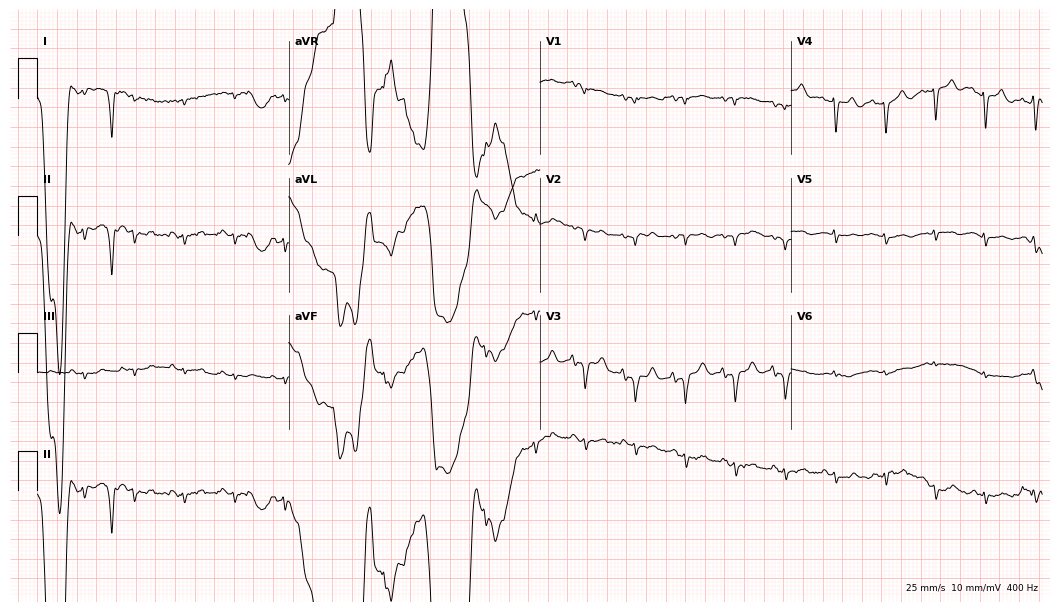
Standard 12-lead ECG recorded from a male patient, 72 years old (10.2-second recording at 400 Hz). None of these six findings is recorded: first-degree AV block, right bundle branch block, left bundle branch block, sinus bradycardia, atrial fibrillation, sinus tachycardia.